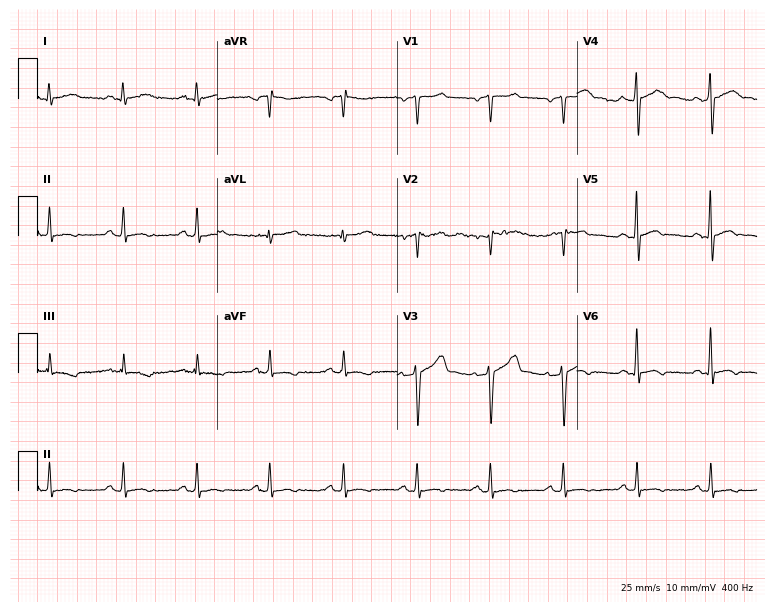
ECG — a man, 49 years old. Screened for six findings — first-degree AV block, right bundle branch block, left bundle branch block, sinus bradycardia, atrial fibrillation, sinus tachycardia — none is recorded.